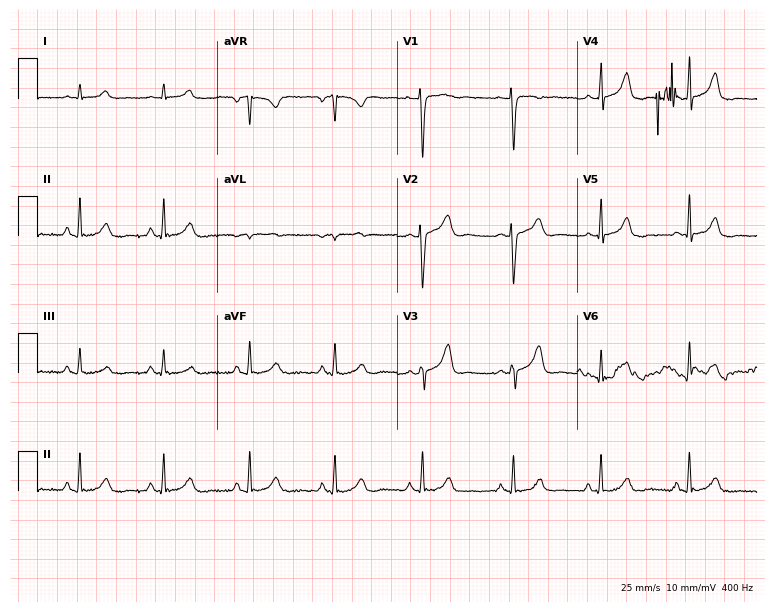
Electrocardiogram, a 25-year-old female. Of the six screened findings (first-degree AV block, right bundle branch block, left bundle branch block, sinus bradycardia, atrial fibrillation, sinus tachycardia), none is recorded.